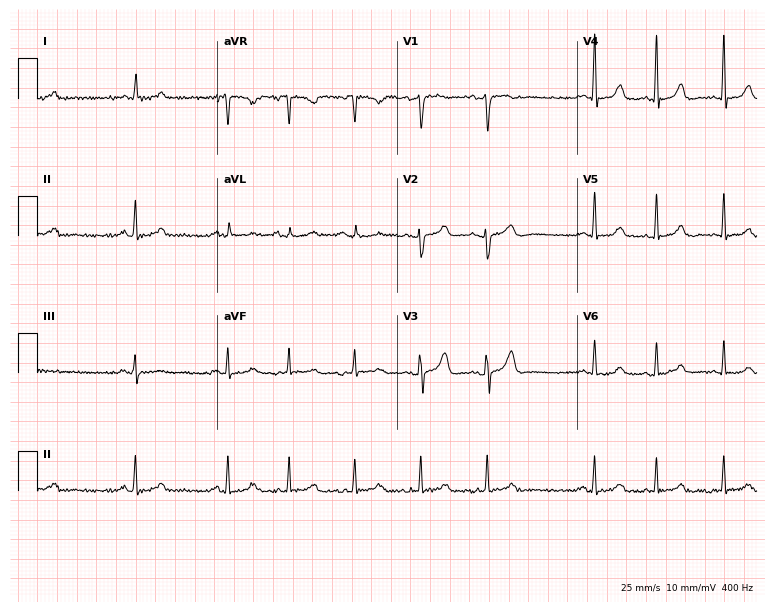
ECG (7.3-second recording at 400 Hz) — a female patient, 41 years old. Labelled as a normal ECG.